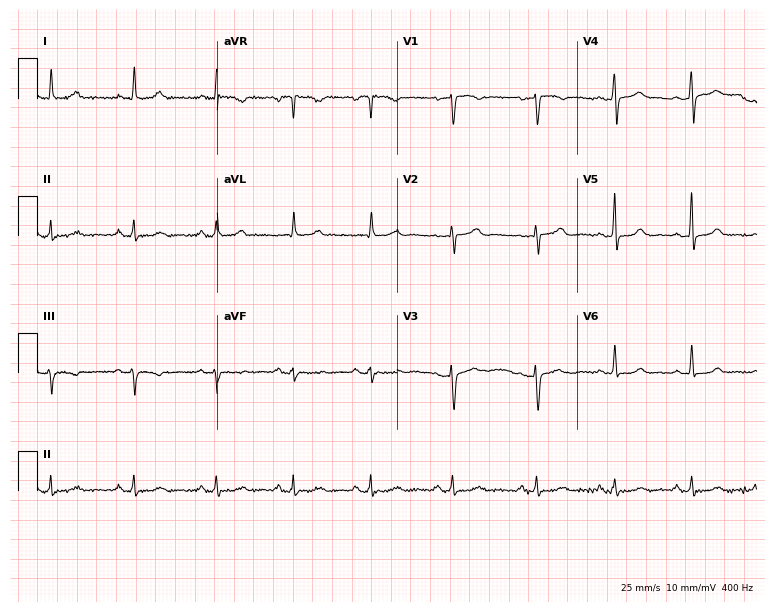
ECG (7.3-second recording at 400 Hz) — a 52-year-old female. Labelled as a normal ECG.